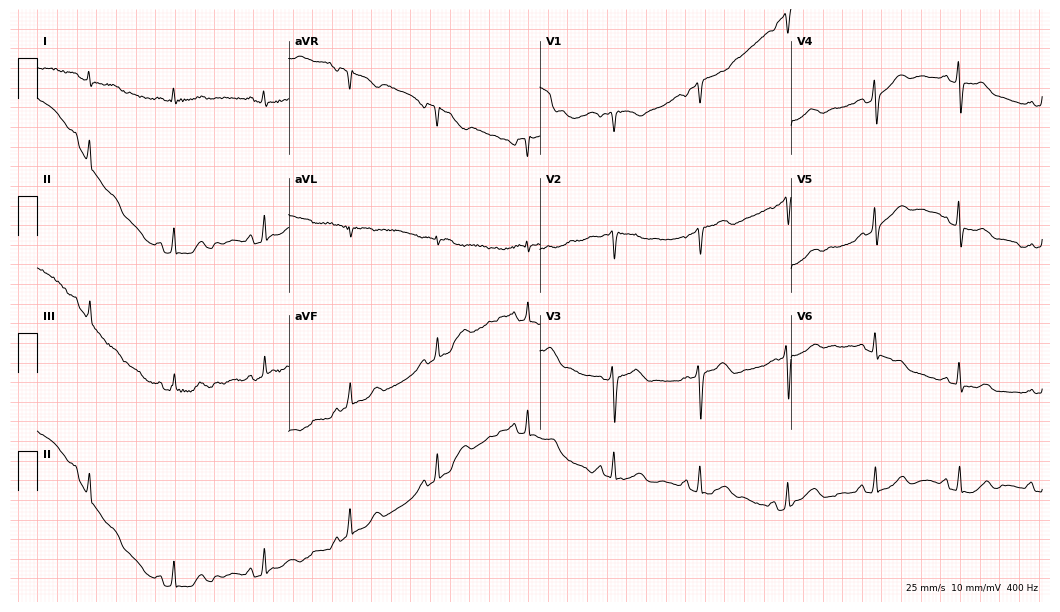
12-lead ECG from a 56-year-old female. Labelled as a normal ECG.